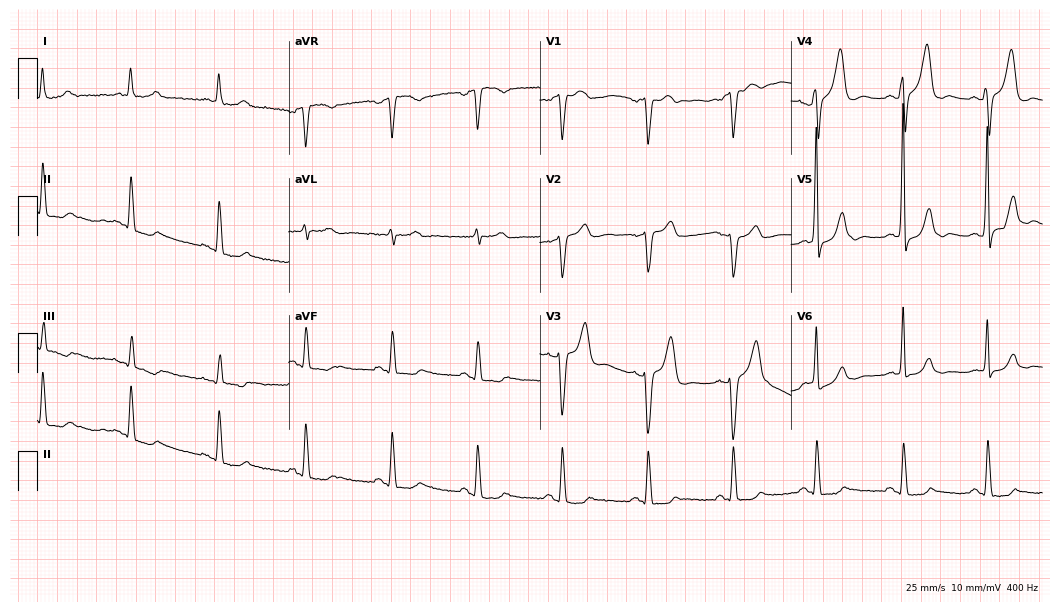
ECG (10.2-second recording at 400 Hz) — a female patient, 81 years old. Screened for six findings — first-degree AV block, right bundle branch block (RBBB), left bundle branch block (LBBB), sinus bradycardia, atrial fibrillation (AF), sinus tachycardia — none is recorded.